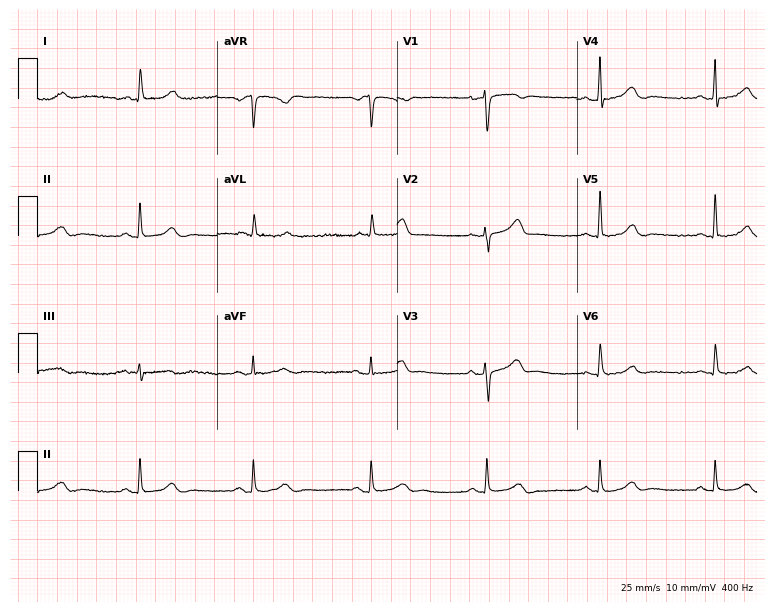
12-lead ECG from a female patient, 59 years old. Findings include sinus bradycardia (a sinus rate of 50 beats per minute or less).